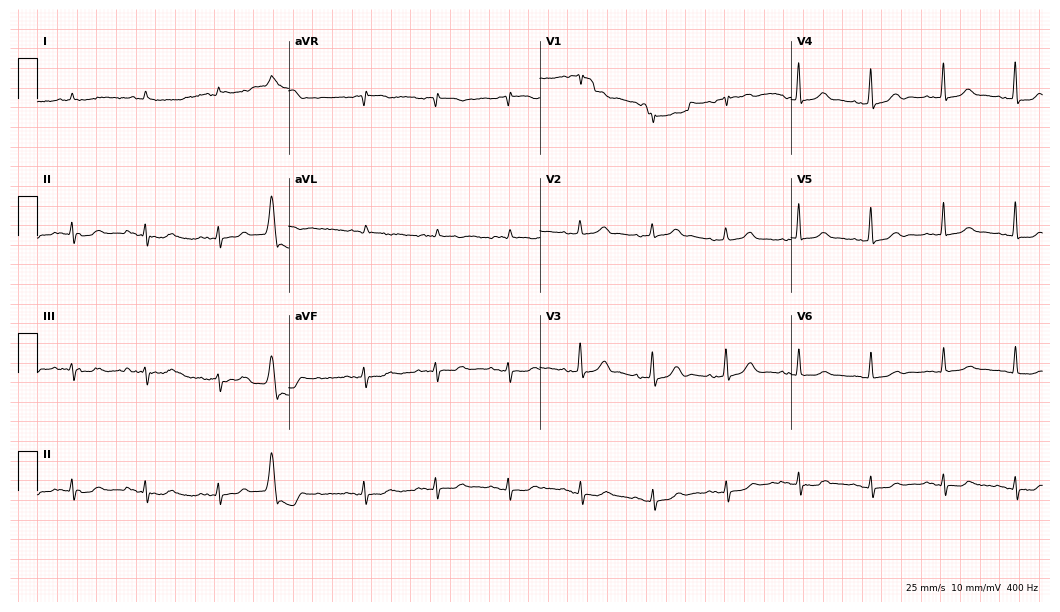
12-lead ECG (10.2-second recording at 400 Hz) from an 83-year-old man. Screened for six findings — first-degree AV block, right bundle branch block, left bundle branch block, sinus bradycardia, atrial fibrillation, sinus tachycardia — none is recorded. Other findings, if any, are not listed.